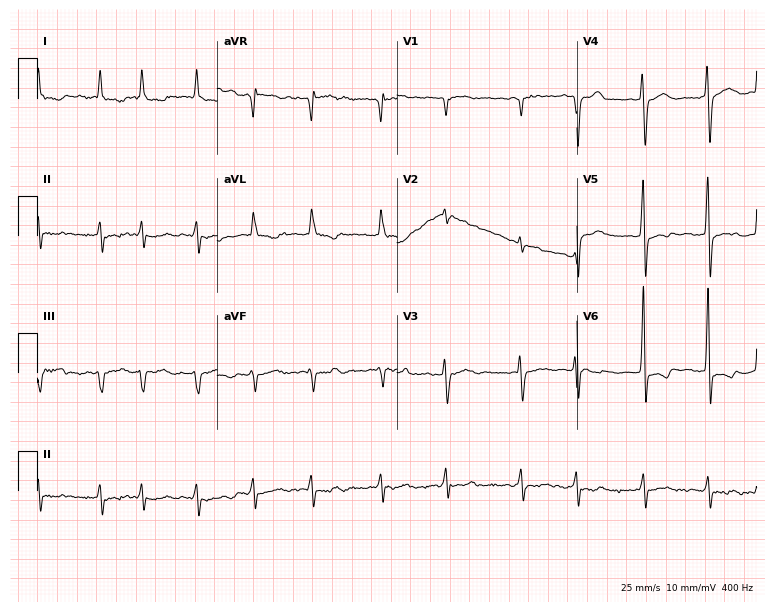
Resting 12-lead electrocardiogram (7.3-second recording at 400 Hz). Patient: a male, 83 years old. The tracing shows atrial fibrillation.